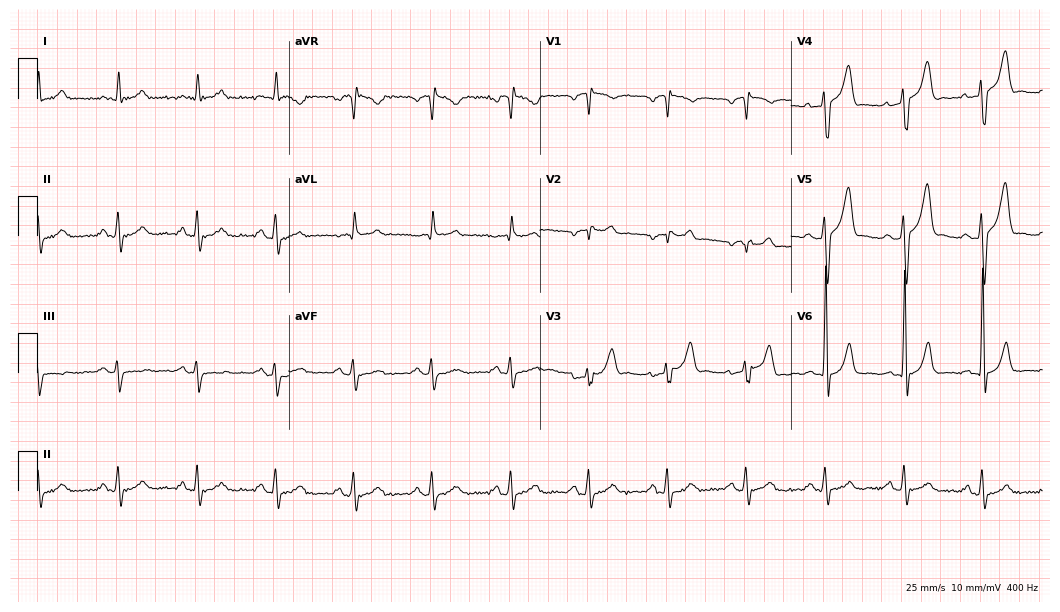
Resting 12-lead electrocardiogram. Patient: a male, 65 years old. None of these six findings is recorded: first-degree AV block, right bundle branch block, left bundle branch block, sinus bradycardia, atrial fibrillation, sinus tachycardia.